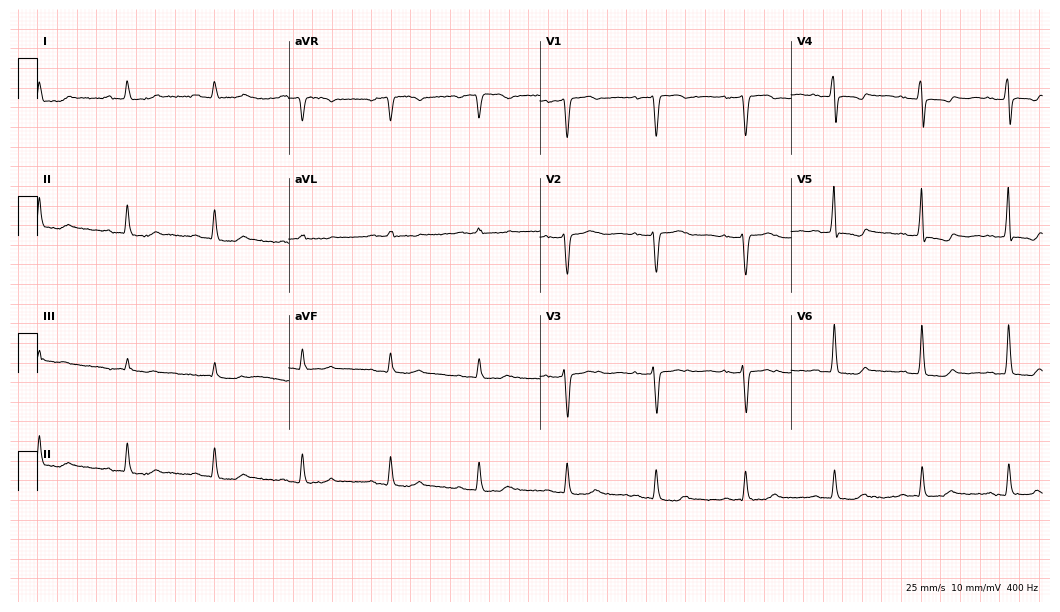
12-lead ECG from a female patient, 61 years old. Screened for six findings — first-degree AV block, right bundle branch block, left bundle branch block, sinus bradycardia, atrial fibrillation, sinus tachycardia — none is recorded.